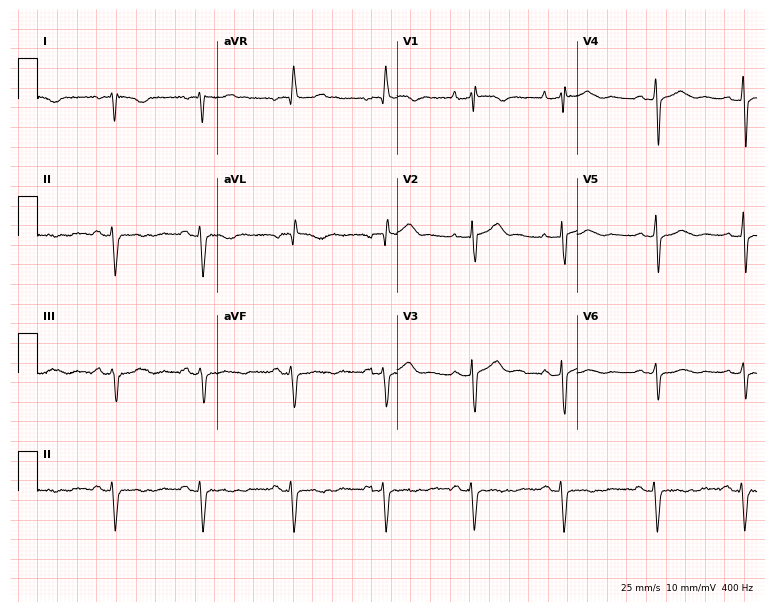
12-lead ECG (7.3-second recording at 400 Hz) from a 76-year-old female. Screened for six findings — first-degree AV block, right bundle branch block, left bundle branch block, sinus bradycardia, atrial fibrillation, sinus tachycardia — none is recorded.